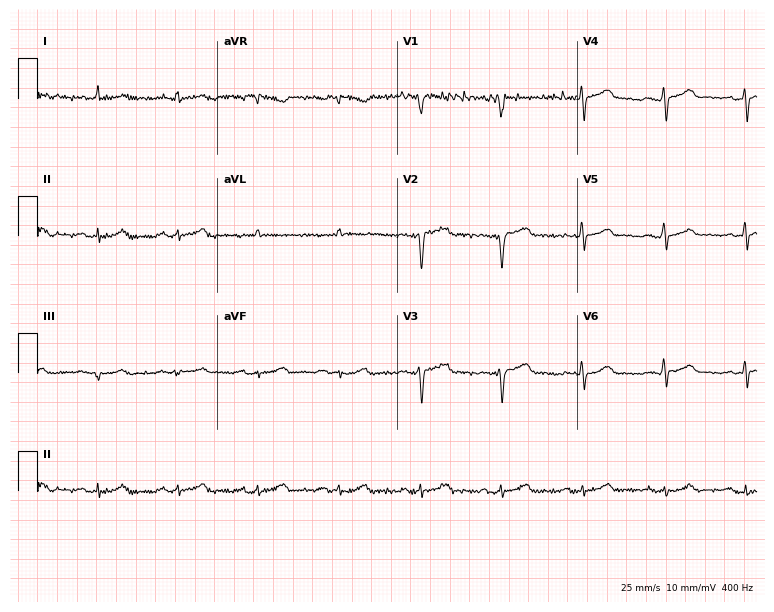
12-lead ECG from a male patient, 58 years old. Screened for six findings — first-degree AV block, right bundle branch block, left bundle branch block, sinus bradycardia, atrial fibrillation, sinus tachycardia — none is recorded. Other findings, if any, are not listed.